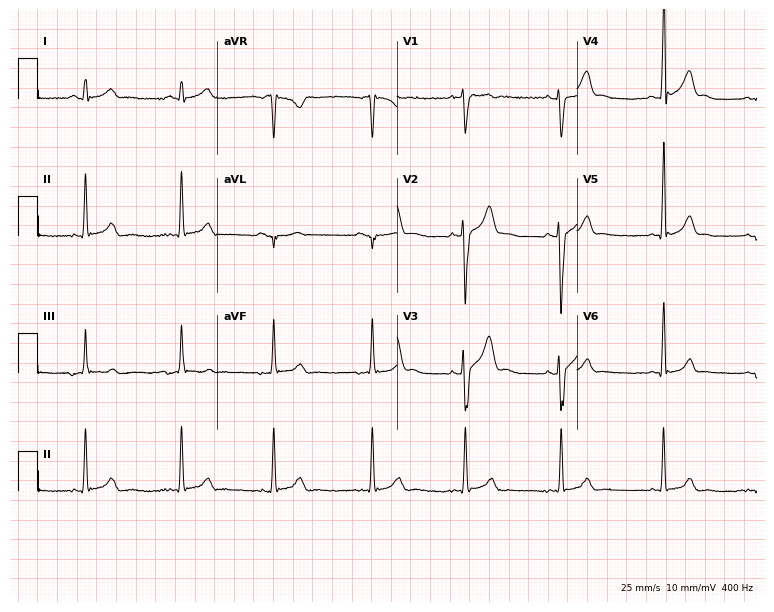
Standard 12-lead ECG recorded from a man, 20 years old. Read as a normal ECG.